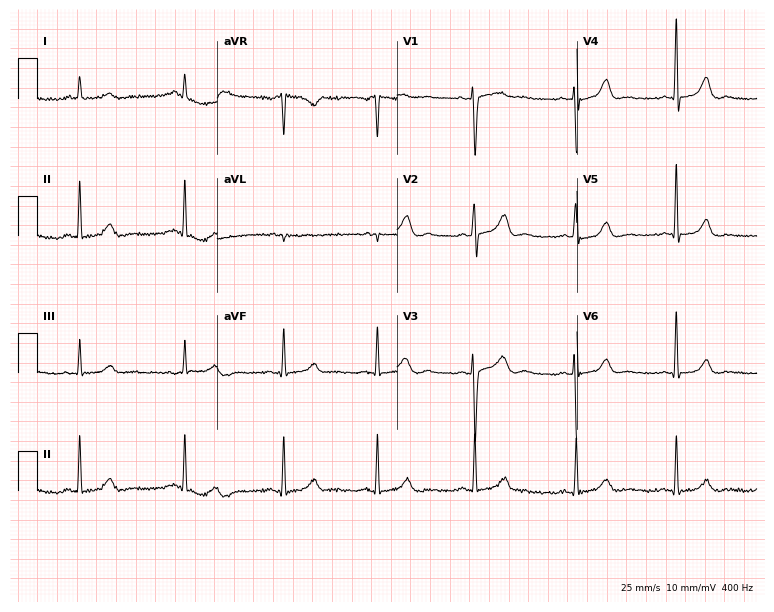
12-lead ECG (7.3-second recording at 400 Hz) from a woman, 44 years old. Labelled as a normal ECG.